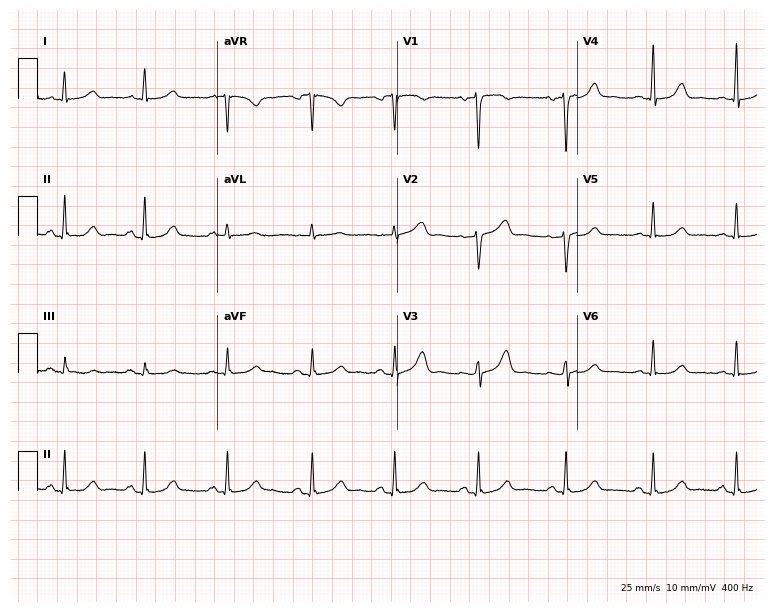
ECG (7.3-second recording at 400 Hz) — a 47-year-old female. Labelled as a normal ECG.